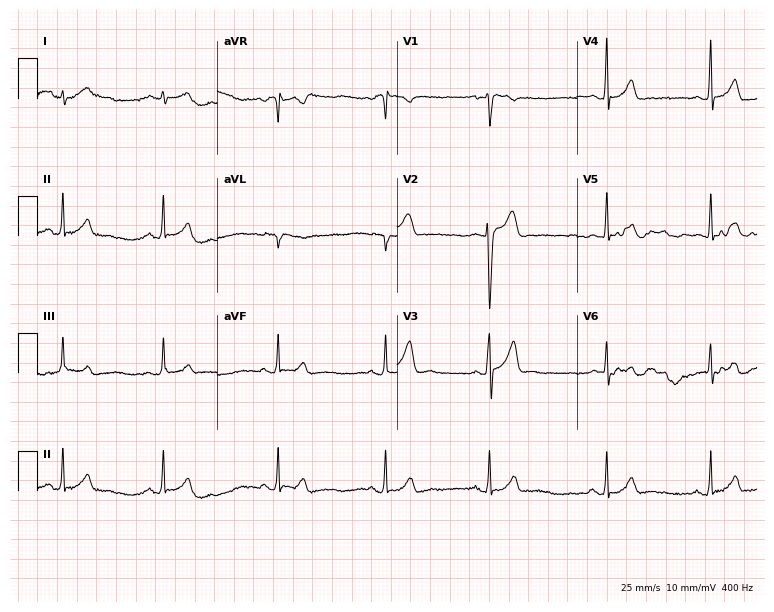
ECG — an 18-year-old male patient. Screened for six findings — first-degree AV block, right bundle branch block, left bundle branch block, sinus bradycardia, atrial fibrillation, sinus tachycardia — none is recorded.